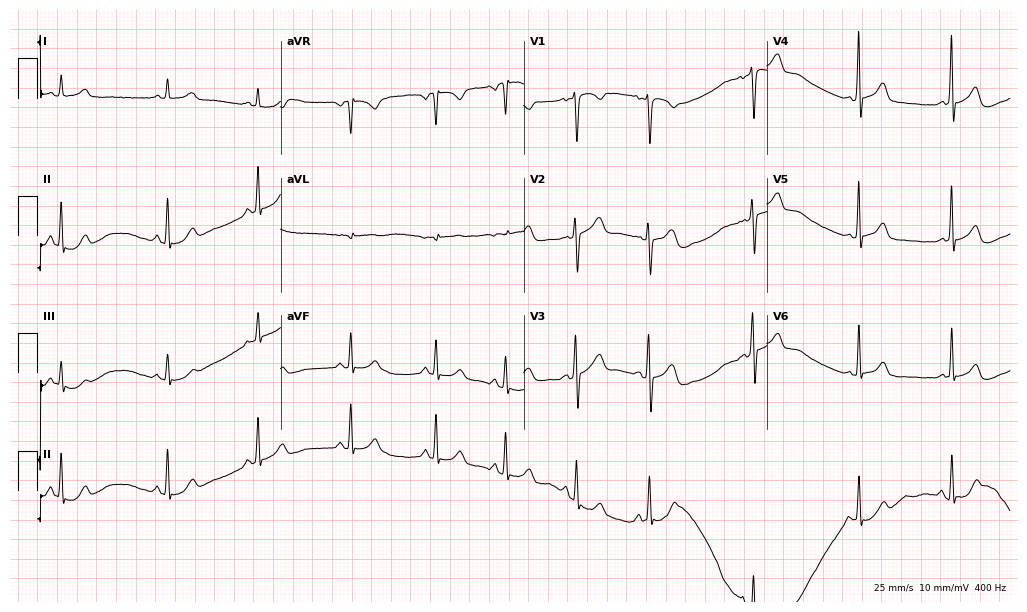
Standard 12-lead ECG recorded from a female, 23 years old. None of these six findings is recorded: first-degree AV block, right bundle branch block, left bundle branch block, sinus bradycardia, atrial fibrillation, sinus tachycardia.